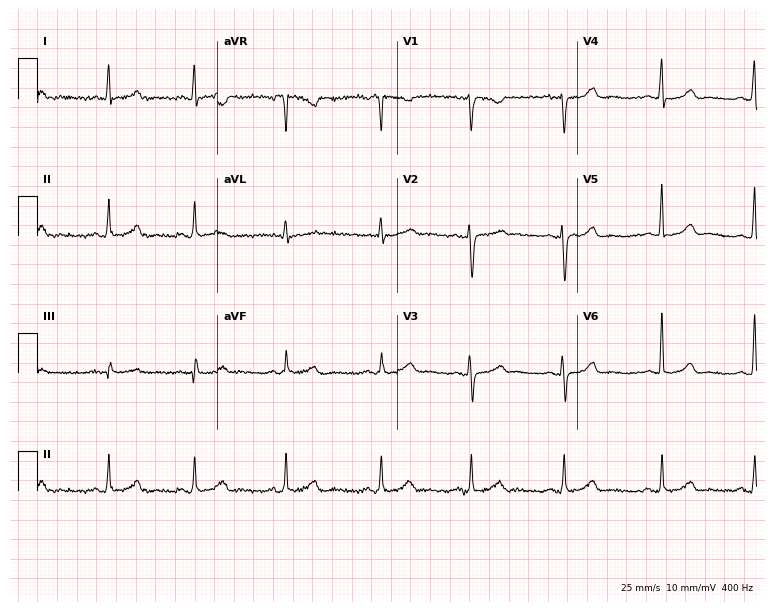
12-lead ECG from a 41-year-old female patient. No first-degree AV block, right bundle branch block, left bundle branch block, sinus bradycardia, atrial fibrillation or sinus tachycardia recorded for this tracing. Findings outside these six are not listed.